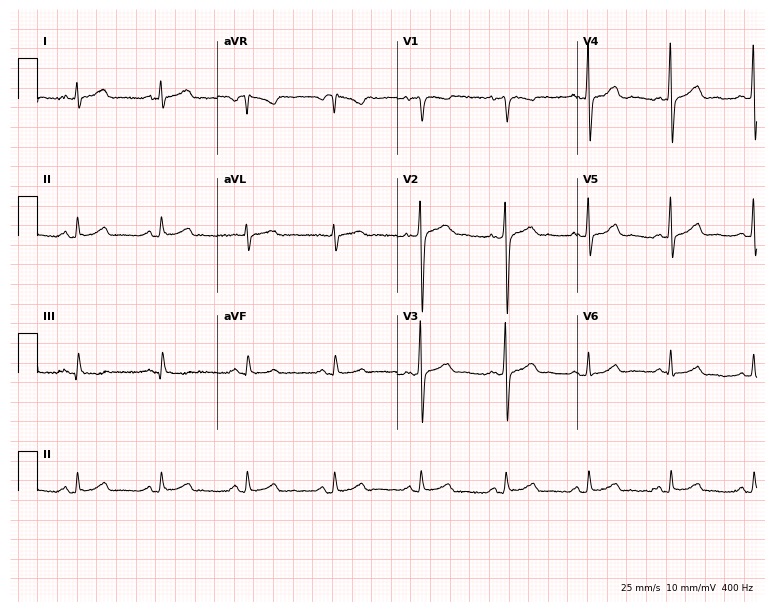
12-lead ECG (7.3-second recording at 400 Hz) from a 52-year-old woman. Labelled as a normal ECG.